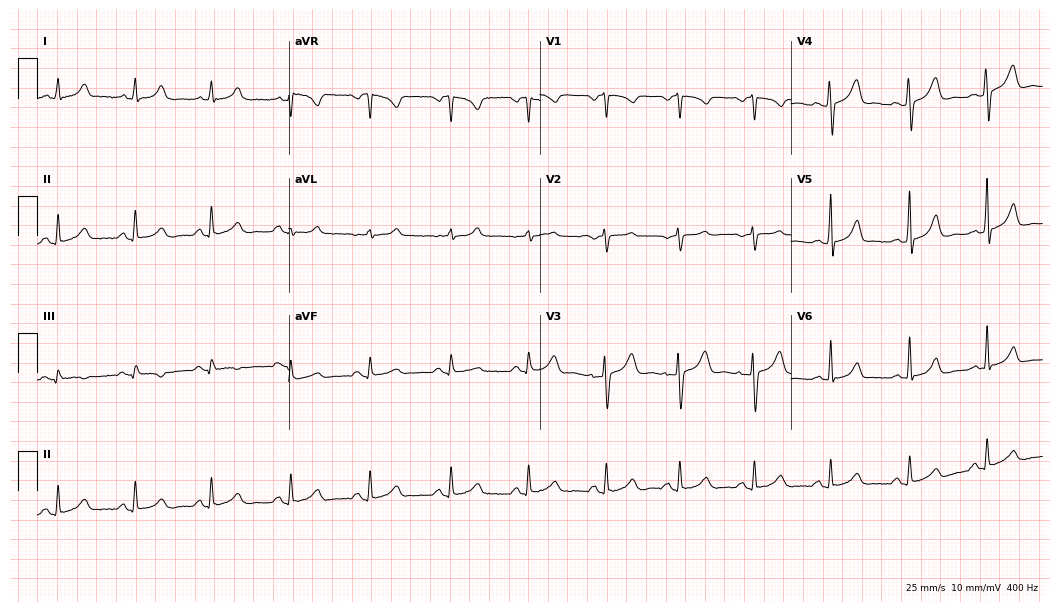
ECG — a 38-year-old female patient. Labelled as a normal ECG.